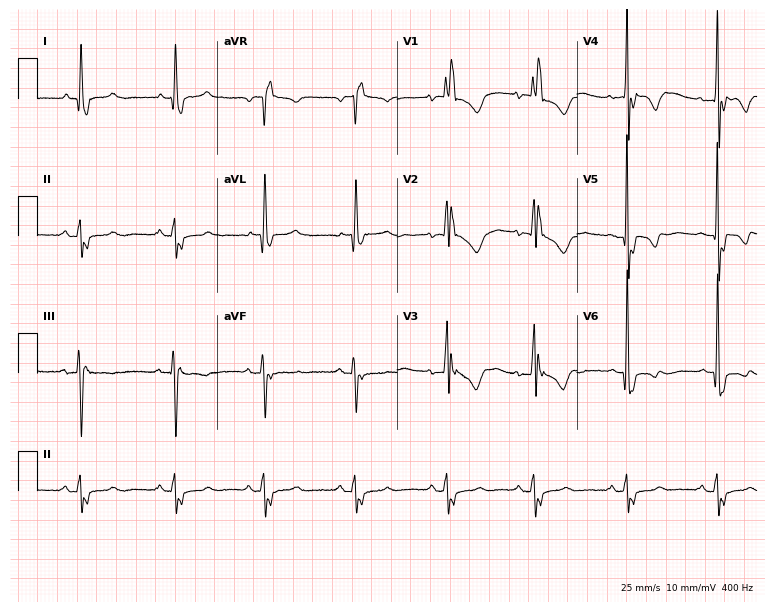
Electrocardiogram (7.3-second recording at 400 Hz), a female patient, 76 years old. Interpretation includes right bundle branch block (RBBB).